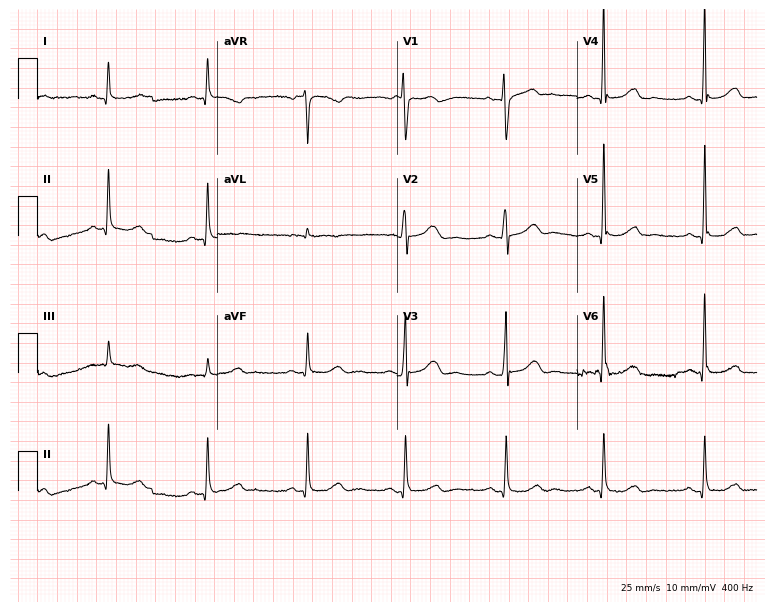
ECG — a woman, 60 years old. Labelled as a normal ECG.